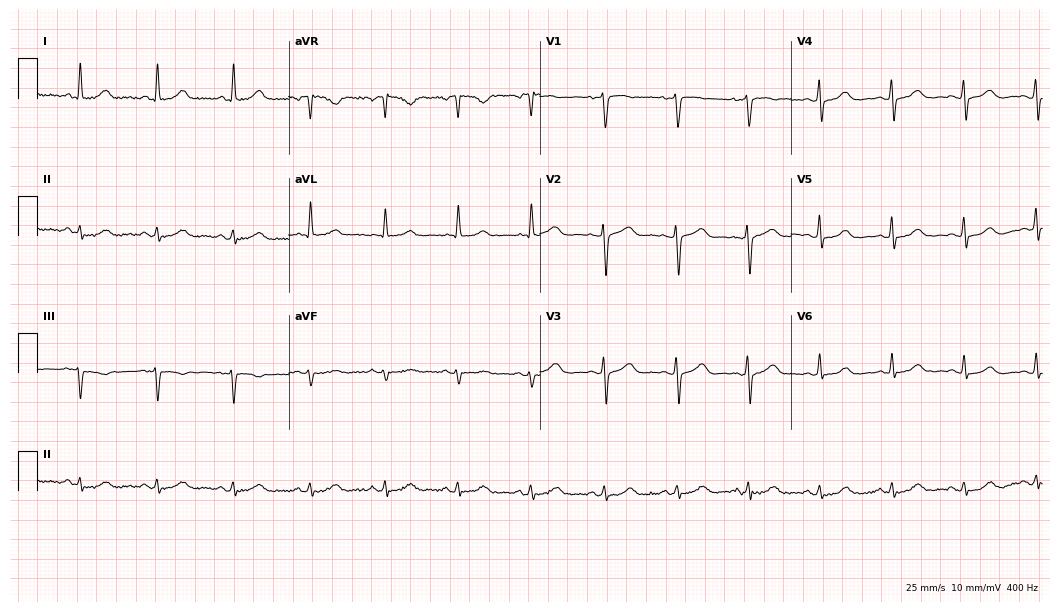
12-lead ECG (10.2-second recording at 400 Hz) from a 67-year-old female. Labelled as a normal ECG.